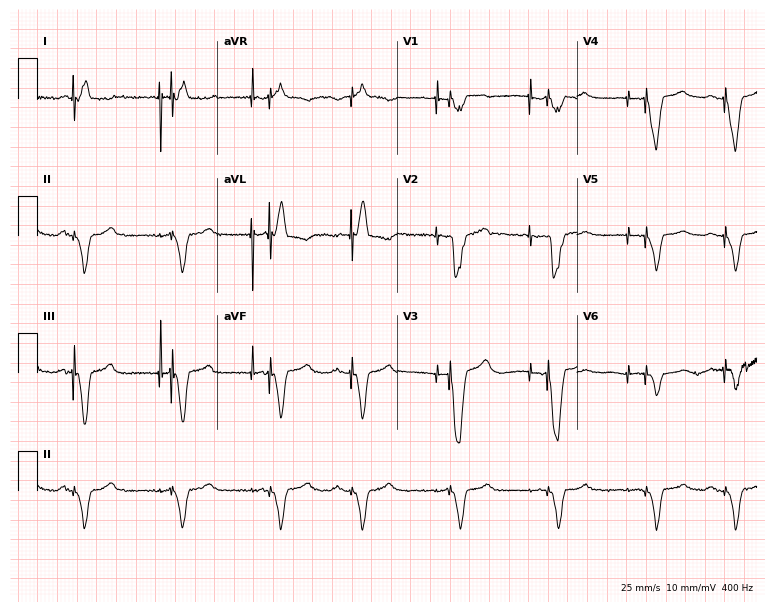
12-lead ECG from an 85-year-old female (7.3-second recording at 400 Hz). No first-degree AV block, right bundle branch block, left bundle branch block, sinus bradycardia, atrial fibrillation or sinus tachycardia recorded for this tracing.